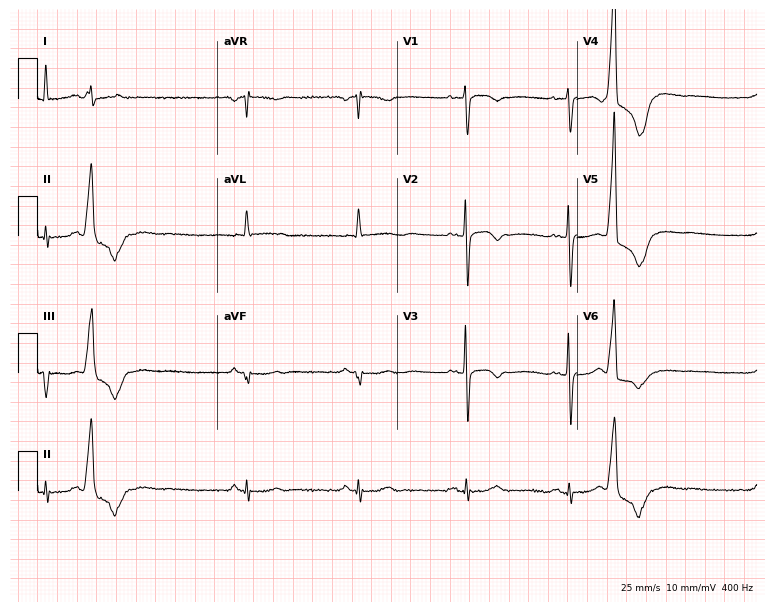
Standard 12-lead ECG recorded from a female, 73 years old (7.3-second recording at 400 Hz). Read as a normal ECG.